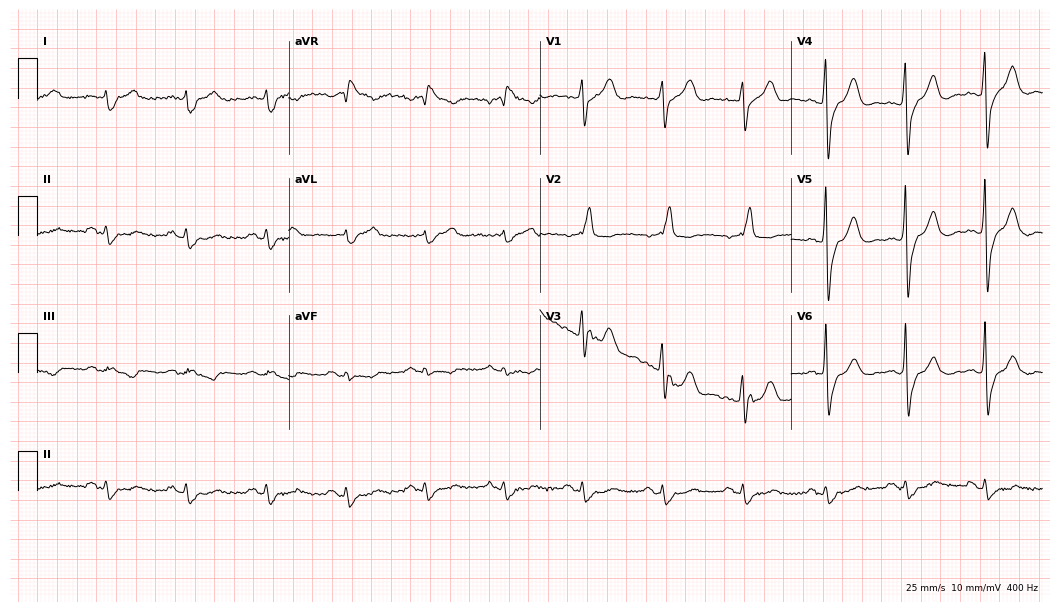
12-lead ECG (10.2-second recording at 400 Hz) from a male patient, 78 years old. Findings include right bundle branch block.